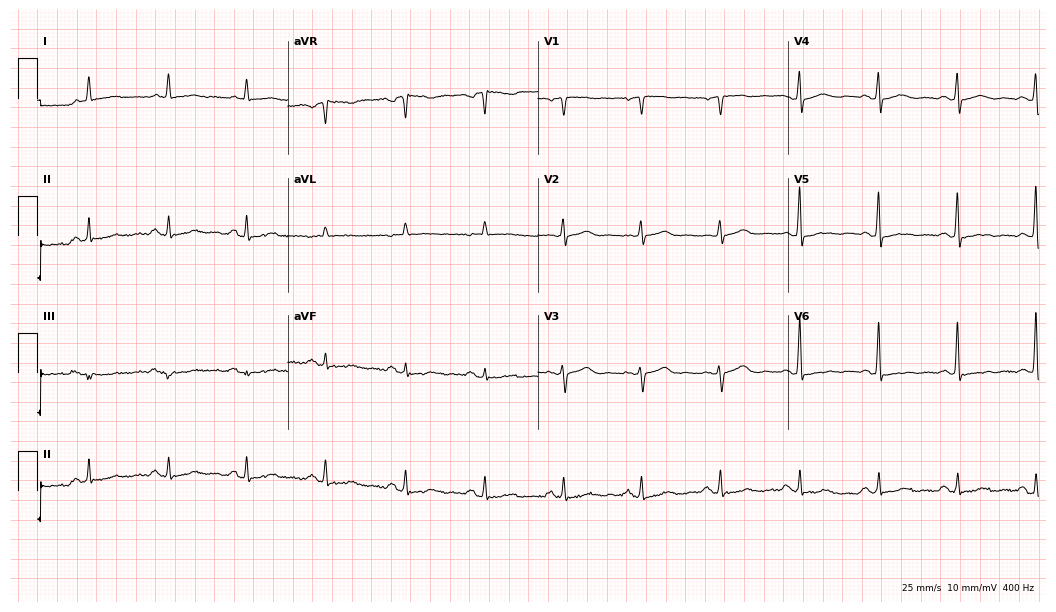
Standard 12-lead ECG recorded from a female patient, 77 years old (10.2-second recording at 400 Hz). None of these six findings is recorded: first-degree AV block, right bundle branch block, left bundle branch block, sinus bradycardia, atrial fibrillation, sinus tachycardia. Findings outside these six are not listed.